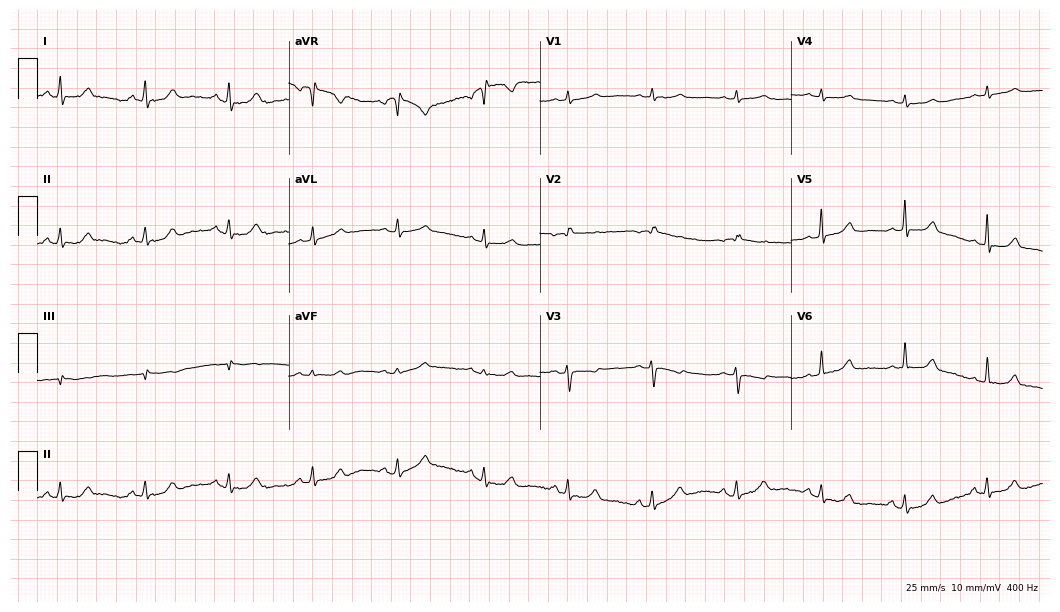
12-lead ECG from a 63-year-old woman. Screened for six findings — first-degree AV block, right bundle branch block, left bundle branch block, sinus bradycardia, atrial fibrillation, sinus tachycardia — none is recorded. Findings outside these six are not listed.